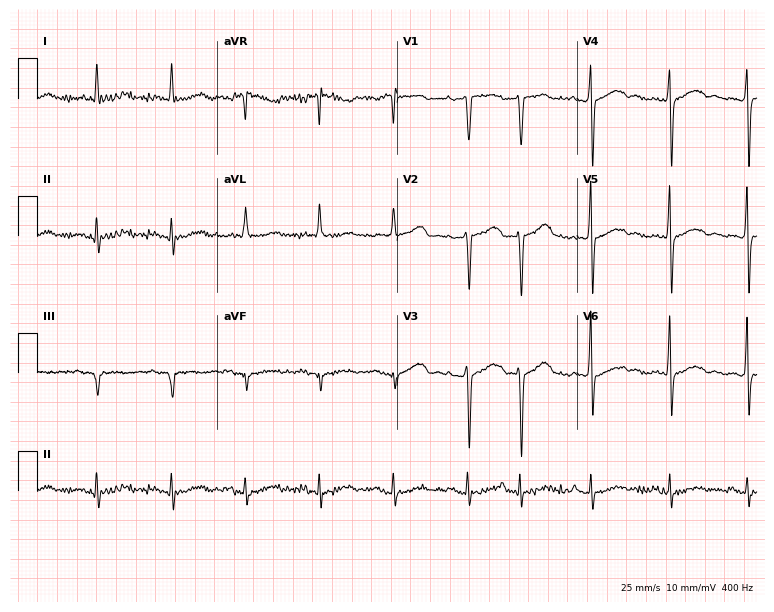
Resting 12-lead electrocardiogram (7.3-second recording at 400 Hz). Patient: a 72-year-old man. Read as a normal ECG.